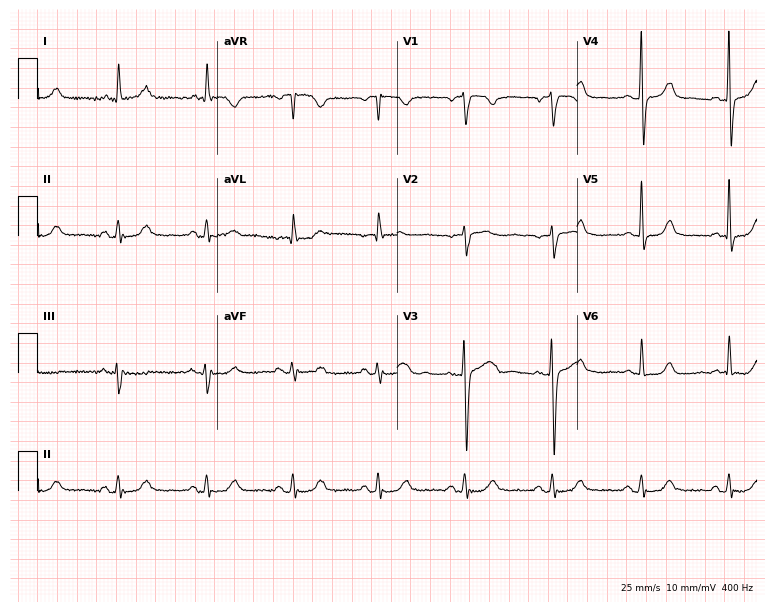
12-lead ECG (7.3-second recording at 400 Hz) from a female patient, 80 years old. Screened for six findings — first-degree AV block, right bundle branch block, left bundle branch block, sinus bradycardia, atrial fibrillation, sinus tachycardia — none is recorded.